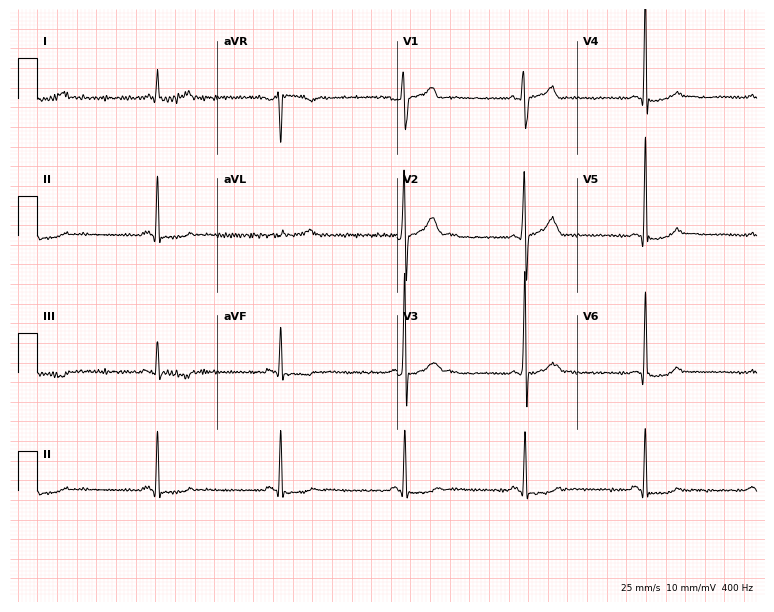
ECG (7.3-second recording at 400 Hz) — a 28-year-old male. Screened for six findings — first-degree AV block, right bundle branch block, left bundle branch block, sinus bradycardia, atrial fibrillation, sinus tachycardia — none is recorded.